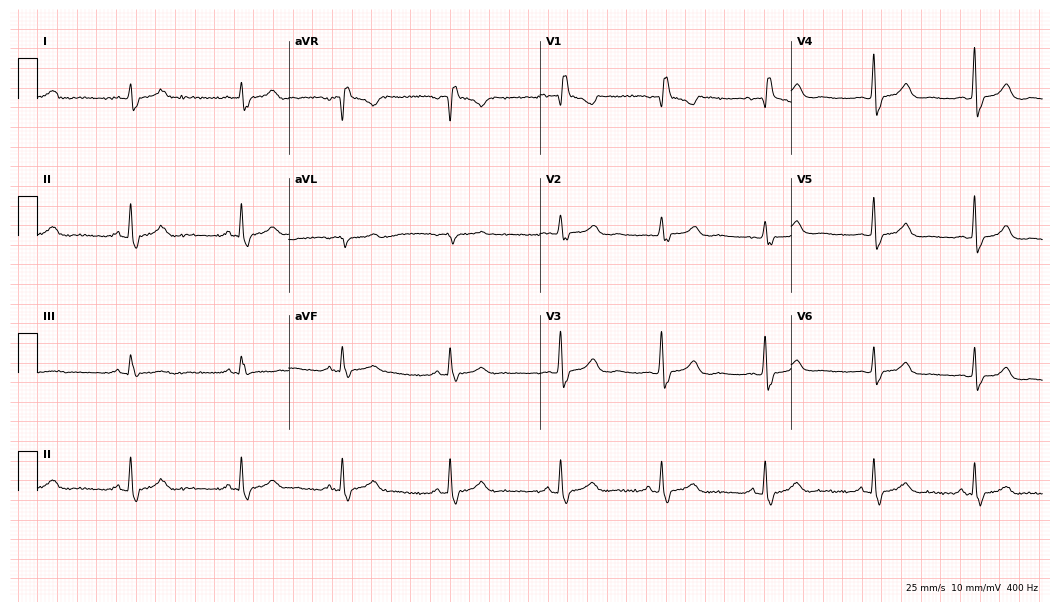
ECG (10.2-second recording at 400 Hz) — a 62-year-old female patient. Findings include right bundle branch block (RBBB).